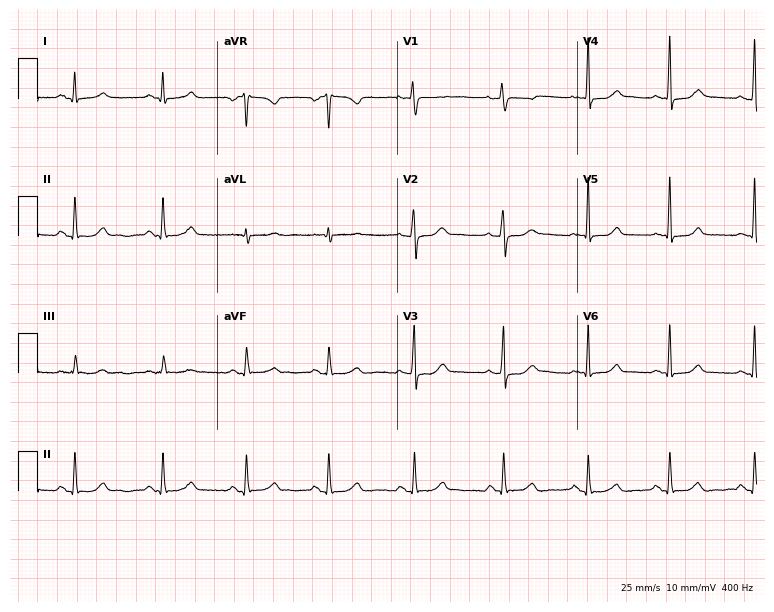
Standard 12-lead ECG recorded from a female patient, 42 years old (7.3-second recording at 400 Hz). Read as a normal ECG.